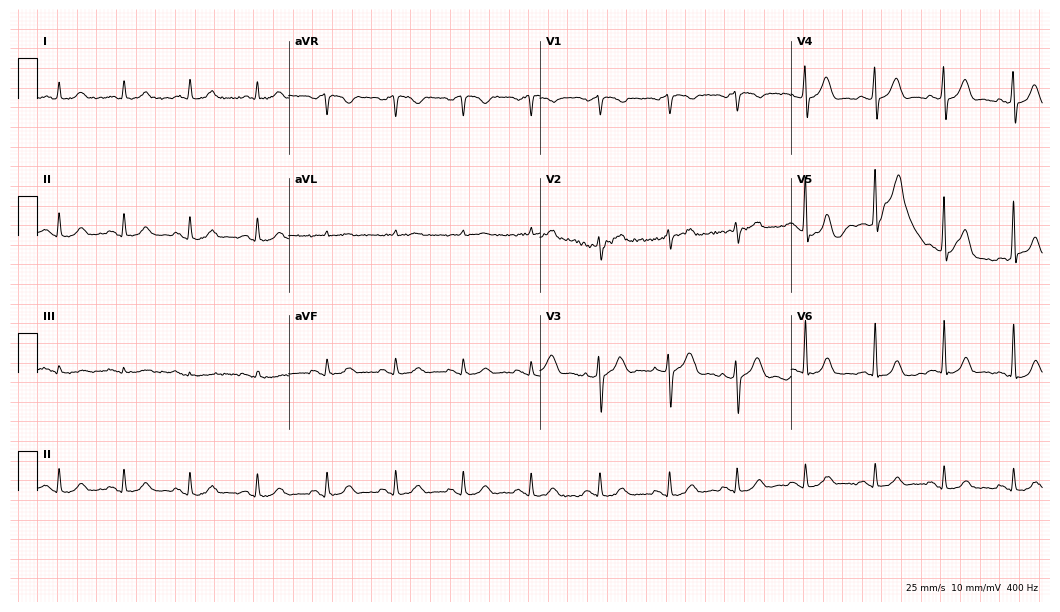
Standard 12-lead ECG recorded from a 61-year-old man (10.2-second recording at 400 Hz). None of these six findings is recorded: first-degree AV block, right bundle branch block, left bundle branch block, sinus bradycardia, atrial fibrillation, sinus tachycardia. Other findings, if any, are not listed.